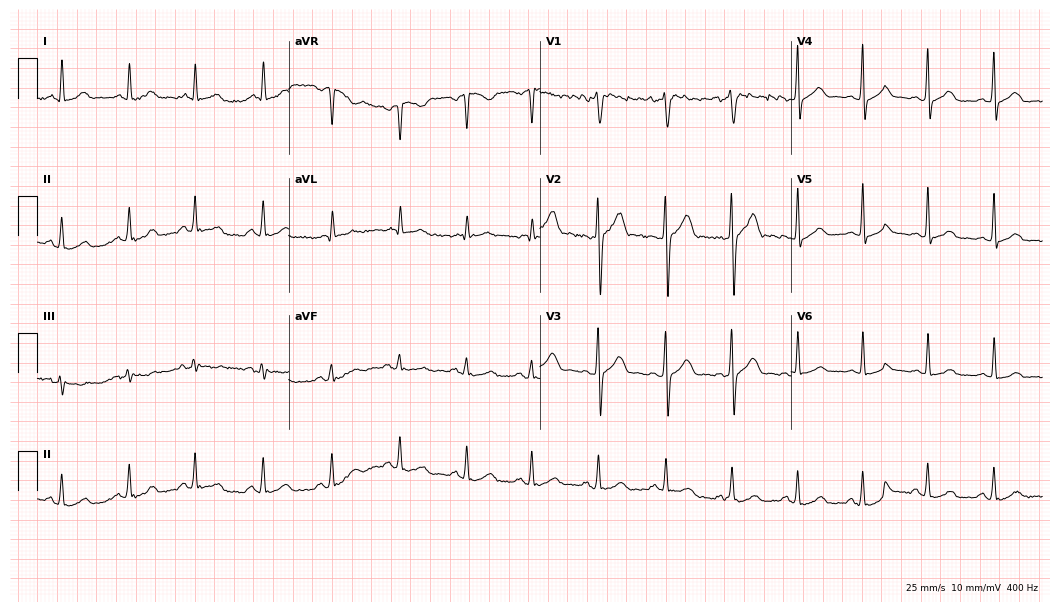
Resting 12-lead electrocardiogram. Patient: a male, 35 years old. Read as a normal ECG.